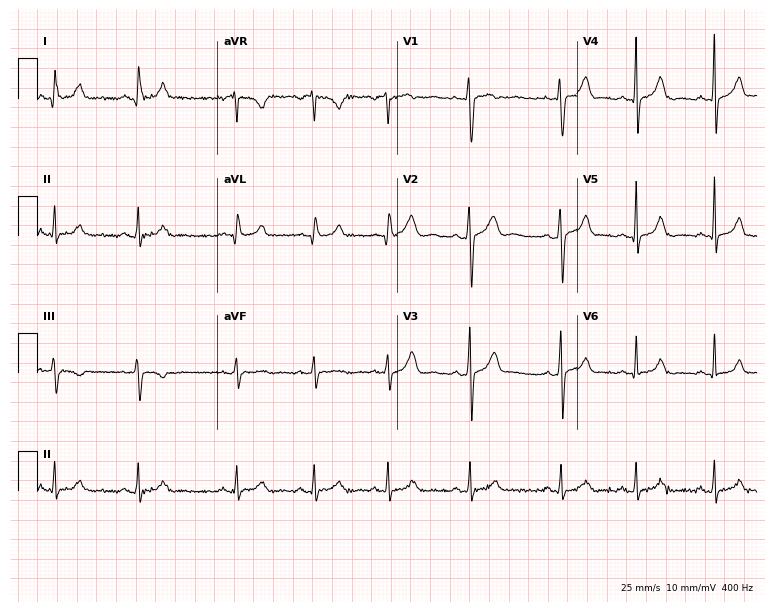
Electrocardiogram, a female, 18 years old. Overall reading on record: normal ECG.